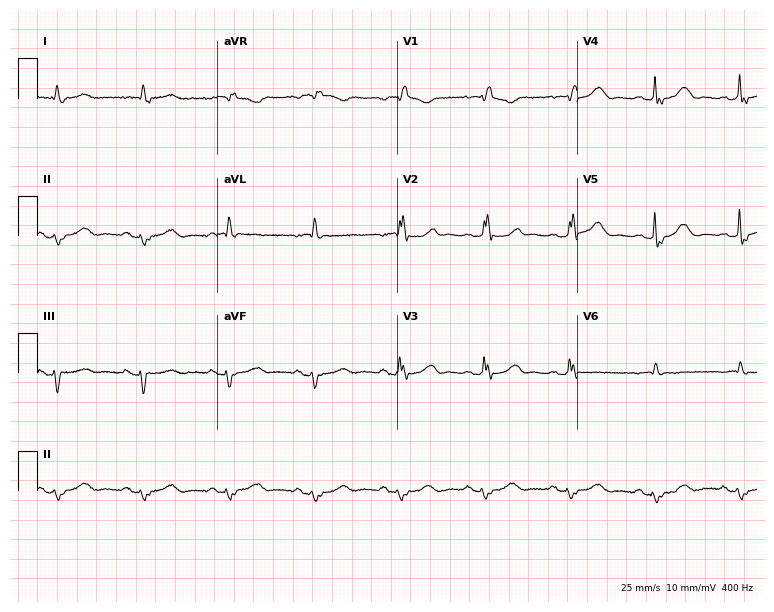
12-lead ECG from a female patient, 75 years old (7.3-second recording at 400 Hz). Shows right bundle branch block.